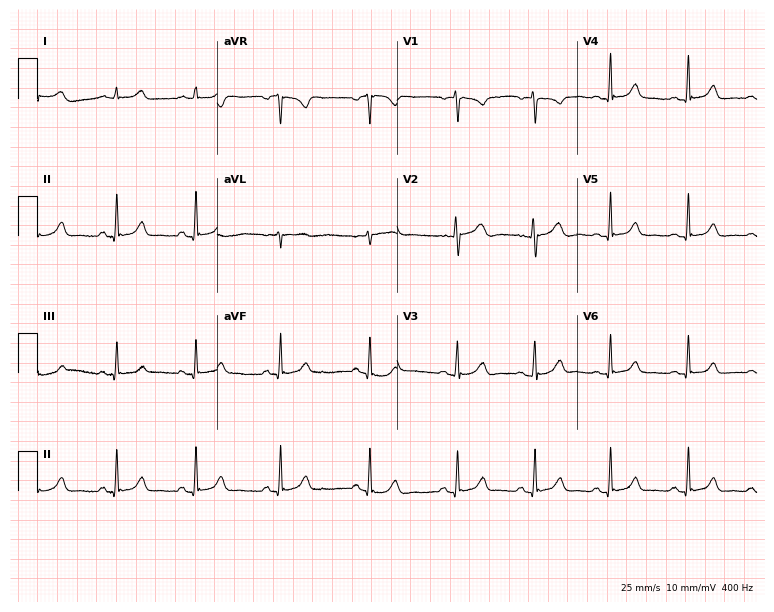
Electrocardiogram (7.3-second recording at 400 Hz), a 20-year-old woman. Overall reading on record: normal ECG.